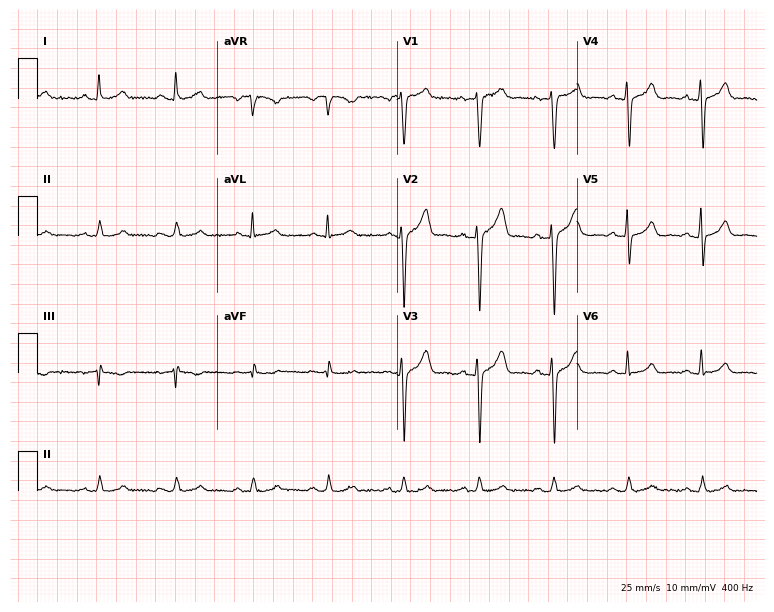
12-lead ECG (7.3-second recording at 400 Hz) from a man, 45 years old. Screened for six findings — first-degree AV block, right bundle branch block, left bundle branch block, sinus bradycardia, atrial fibrillation, sinus tachycardia — none is recorded.